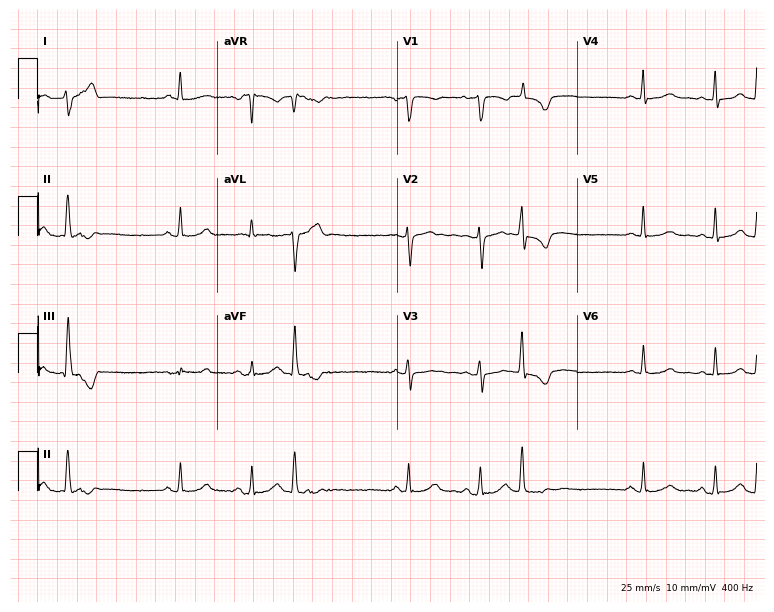
Electrocardiogram, a female patient, 27 years old. Of the six screened findings (first-degree AV block, right bundle branch block, left bundle branch block, sinus bradycardia, atrial fibrillation, sinus tachycardia), none is recorded. Only these six findings were labelled.